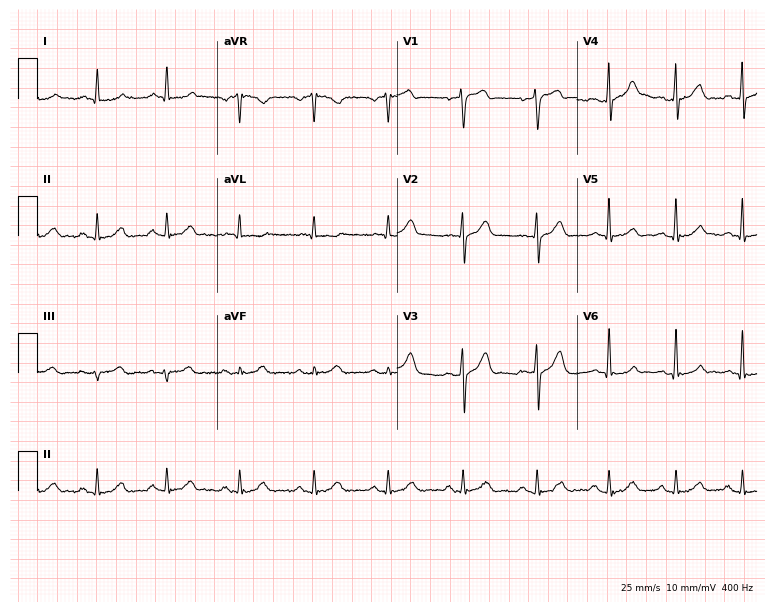
12-lead ECG (7.3-second recording at 400 Hz) from a 56-year-old man. Screened for six findings — first-degree AV block, right bundle branch block, left bundle branch block, sinus bradycardia, atrial fibrillation, sinus tachycardia — none is recorded. Findings outside these six are not listed.